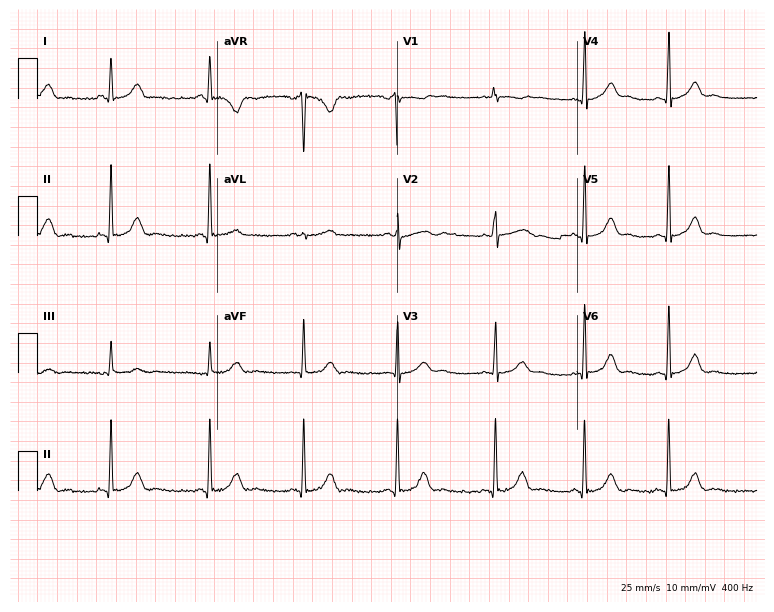
Resting 12-lead electrocardiogram (7.3-second recording at 400 Hz). Patient: a 23-year-old female. Read as a normal ECG.